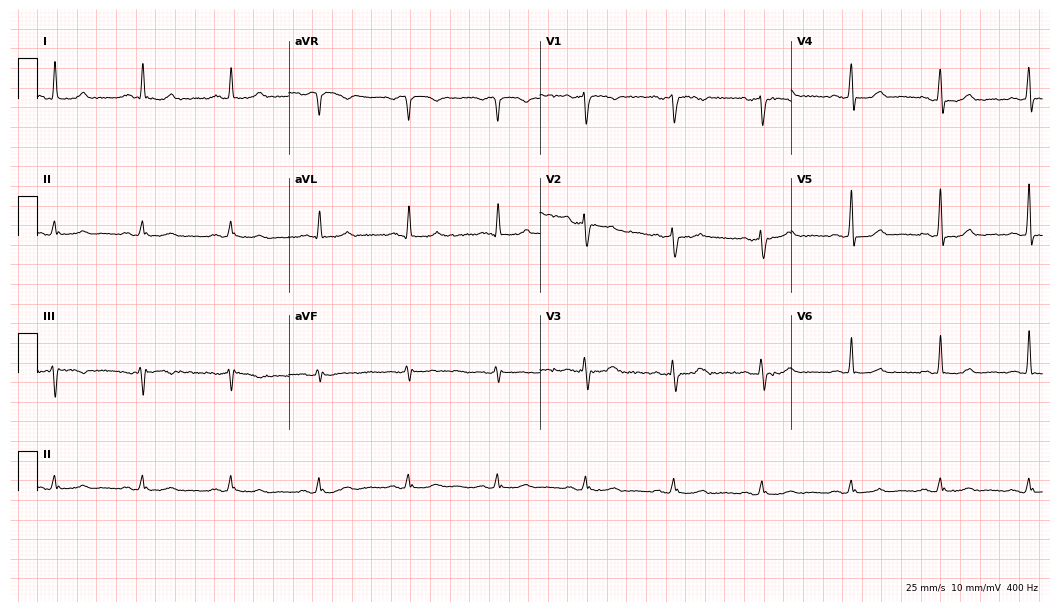
ECG (10.2-second recording at 400 Hz) — a man, 57 years old. Screened for six findings — first-degree AV block, right bundle branch block, left bundle branch block, sinus bradycardia, atrial fibrillation, sinus tachycardia — none is recorded. Findings outside these six are not listed.